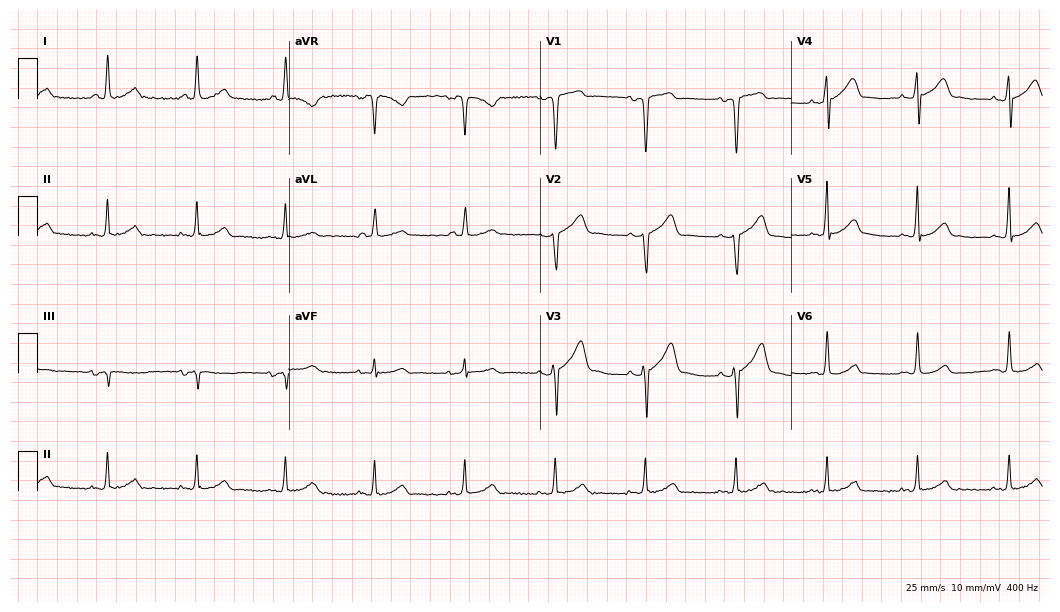
Electrocardiogram (10.2-second recording at 400 Hz), a male patient, 53 years old. Overall reading on record: normal ECG.